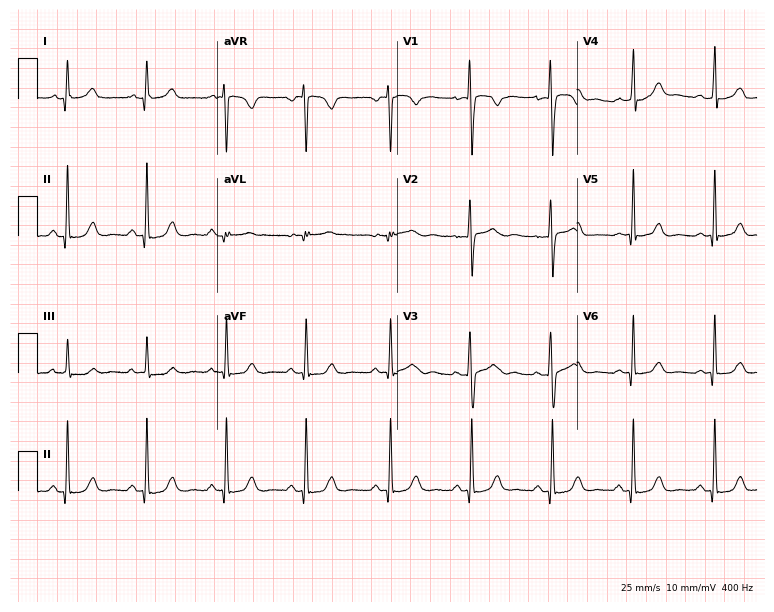
Standard 12-lead ECG recorded from a female, 33 years old (7.3-second recording at 400 Hz). Read as a normal ECG.